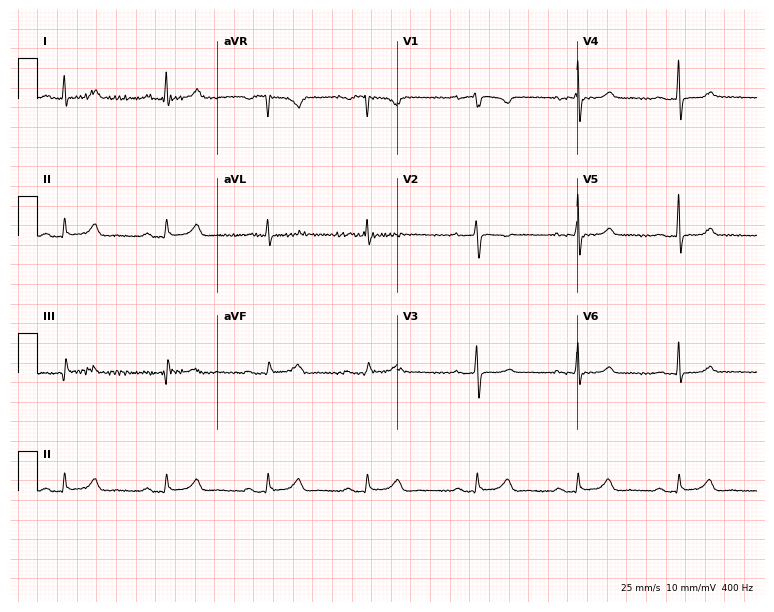
12-lead ECG (7.3-second recording at 400 Hz) from a 63-year-old female patient. Screened for six findings — first-degree AV block, right bundle branch block (RBBB), left bundle branch block (LBBB), sinus bradycardia, atrial fibrillation (AF), sinus tachycardia — none is recorded. Only these six findings were labelled.